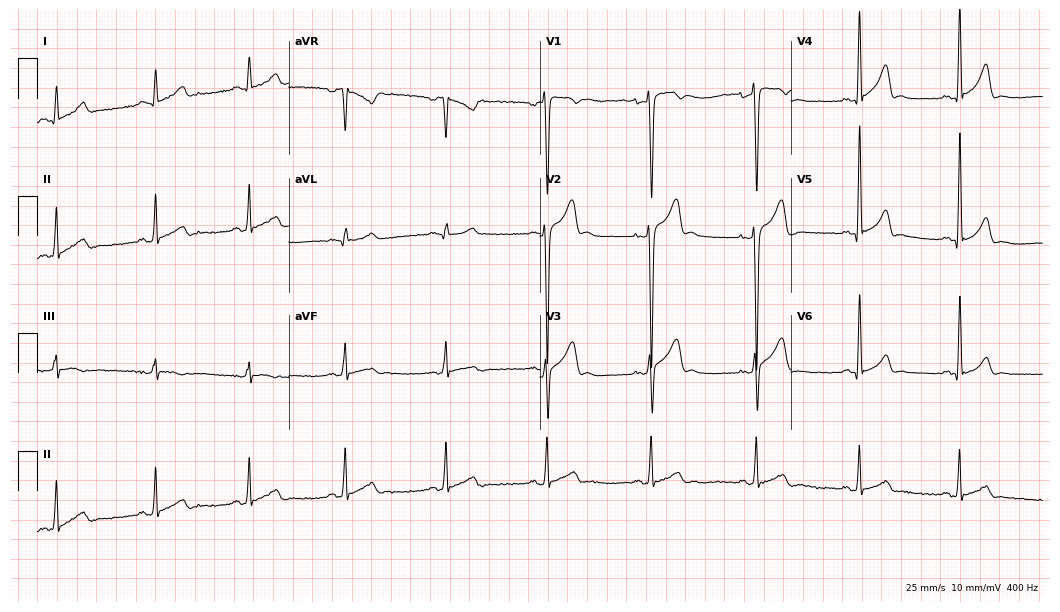
12-lead ECG from a 22-year-old male patient. No first-degree AV block, right bundle branch block, left bundle branch block, sinus bradycardia, atrial fibrillation or sinus tachycardia recorded for this tracing.